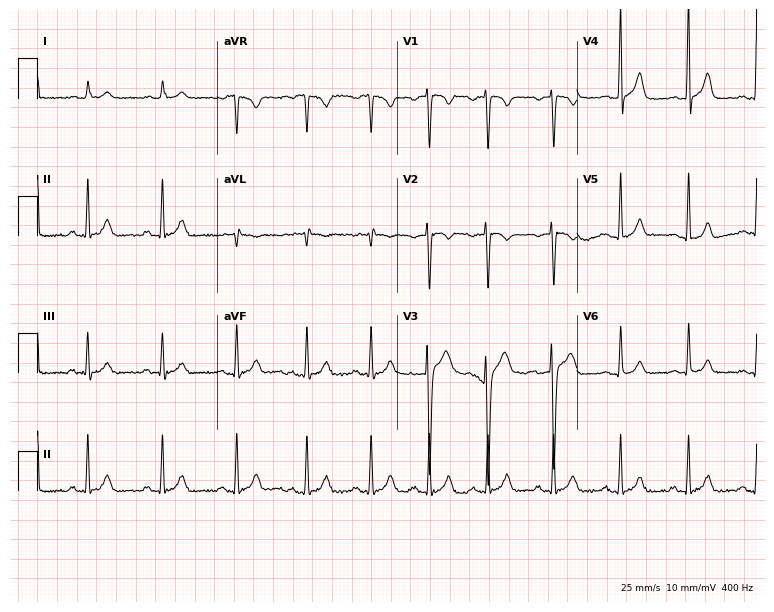
12-lead ECG from a male, 22 years old. Recorded interpretation: within normal limits.